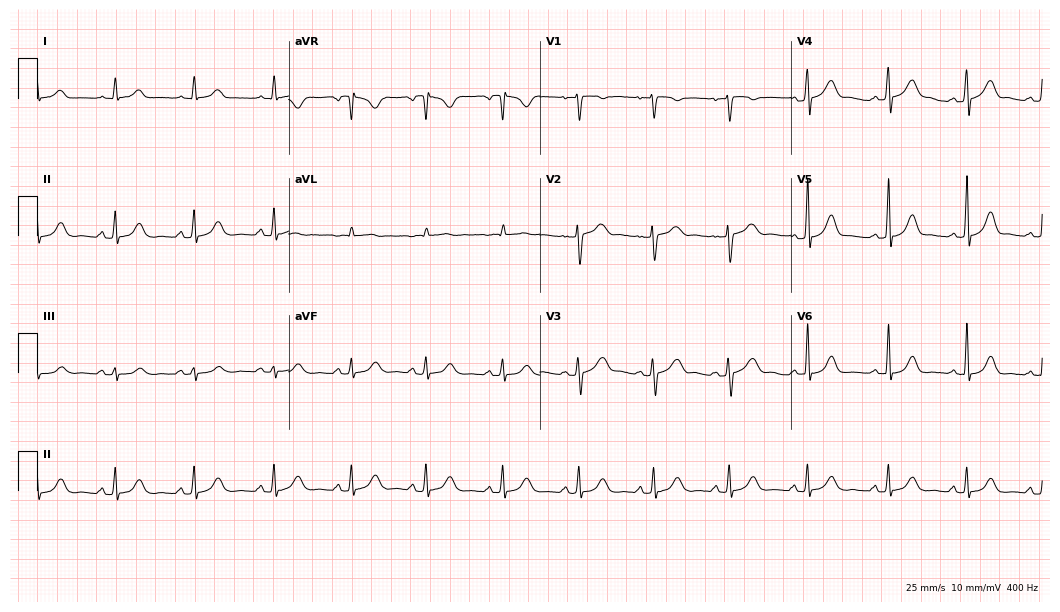
Resting 12-lead electrocardiogram (10.2-second recording at 400 Hz). Patient: a 31-year-old female. None of these six findings is recorded: first-degree AV block, right bundle branch block, left bundle branch block, sinus bradycardia, atrial fibrillation, sinus tachycardia. Only these six findings were labelled.